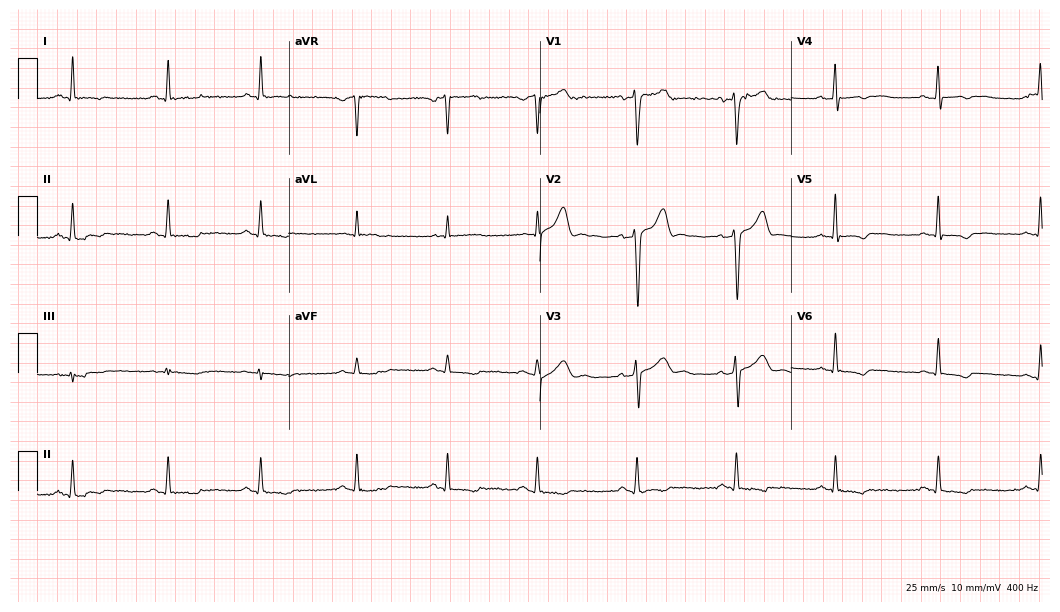
12-lead ECG from a male, 35 years old. Screened for six findings — first-degree AV block, right bundle branch block, left bundle branch block, sinus bradycardia, atrial fibrillation, sinus tachycardia — none is recorded. Findings outside these six are not listed.